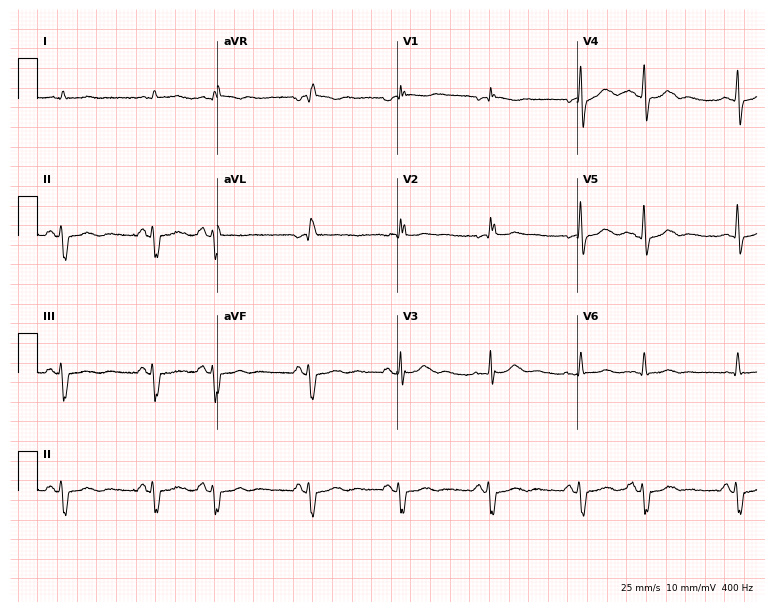
12-lead ECG from a man, 84 years old. No first-degree AV block, right bundle branch block (RBBB), left bundle branch block (LBBB), sinus bradycardia, atrial fibrillation (AF) or sinus tachycardia recorded for this tracing. Findings outside these six are not listed.